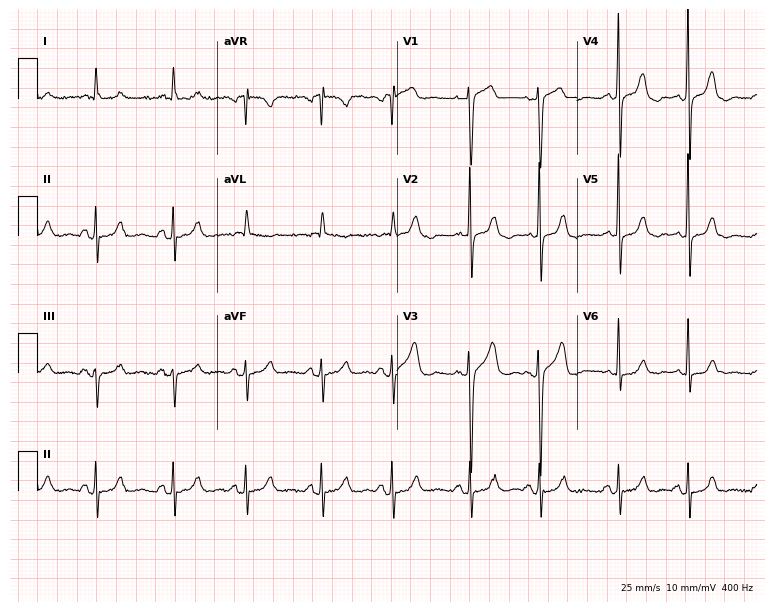
Electrocardiogram, an 86-year-old male patient. Overall reading on record: normal ECG.